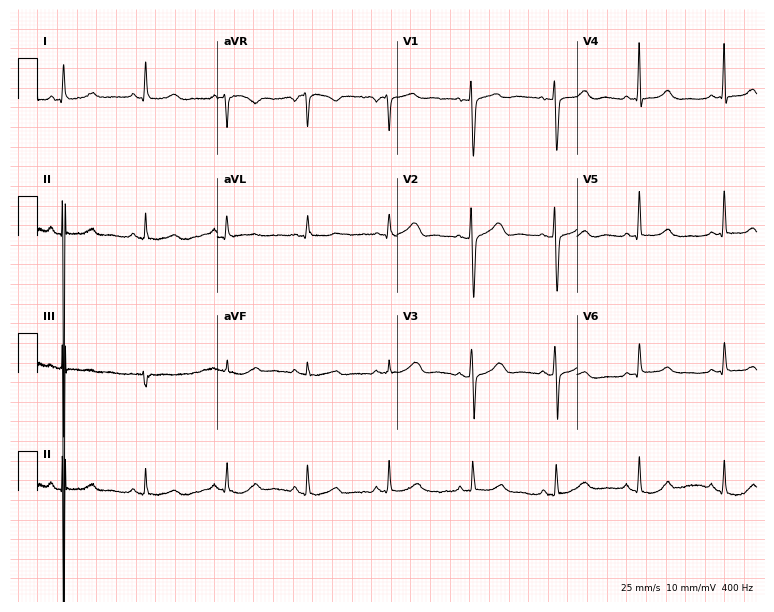
Standard 12-lead ECG recorded from a 41-year-old male patient. None of these six findings is recorded: first-degree AV block, right bundle branch block (RBBB), left bundle branch block (LBBB), sinus bradycardia, atrial fibrillation (AF), sinus tachycardia. Only these six findings were labelled.